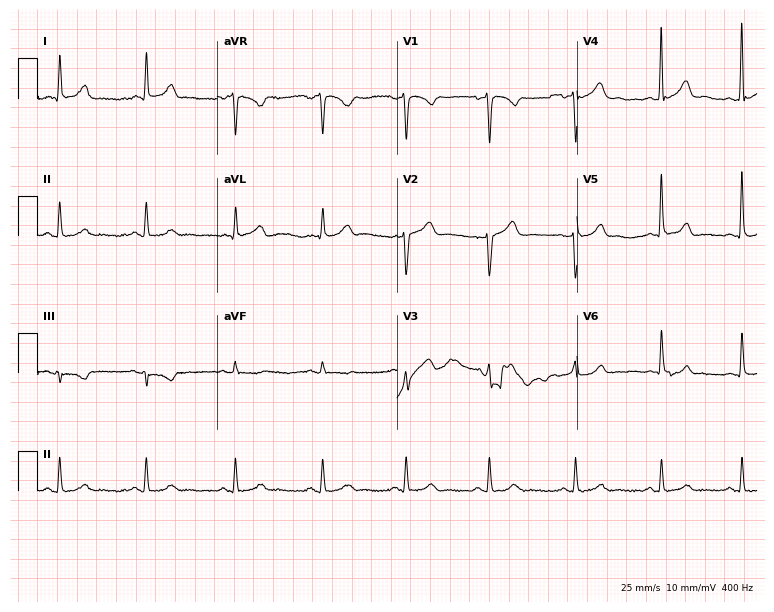
ECG — a 36-year-old man. Labelled as a normal ECG.